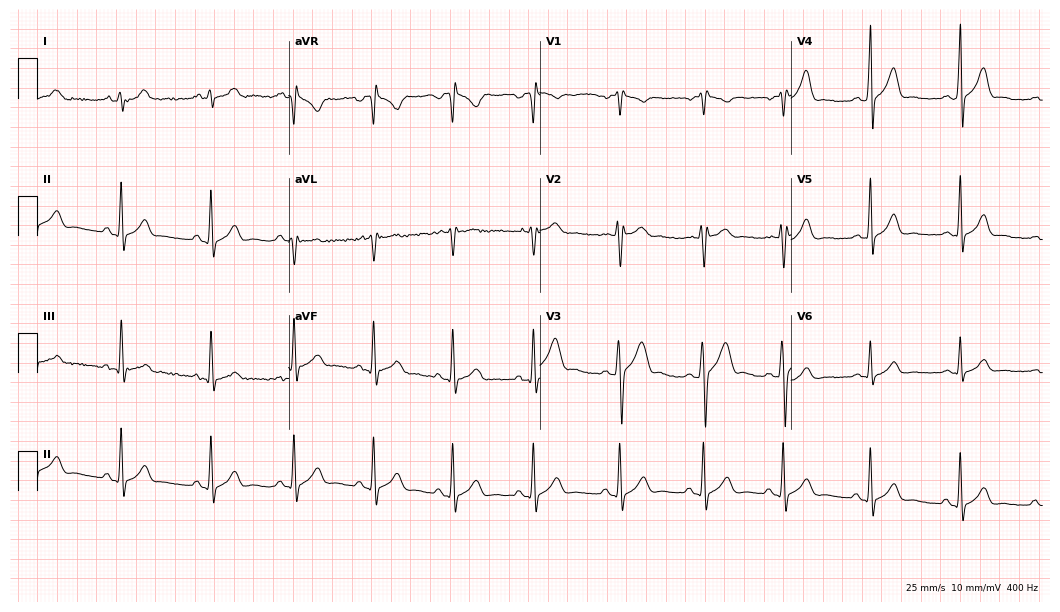
Electrocardiogram (10.2-second recording at 400 Hz), a male, 24 years old. Of the six screened findings (first-degree AV block, right bundle branch block, left bundle branch block, sinus bradycardia, atrial fibrillation, sinus tachycardia), none is recorded. Other findings, if any, are not listed.